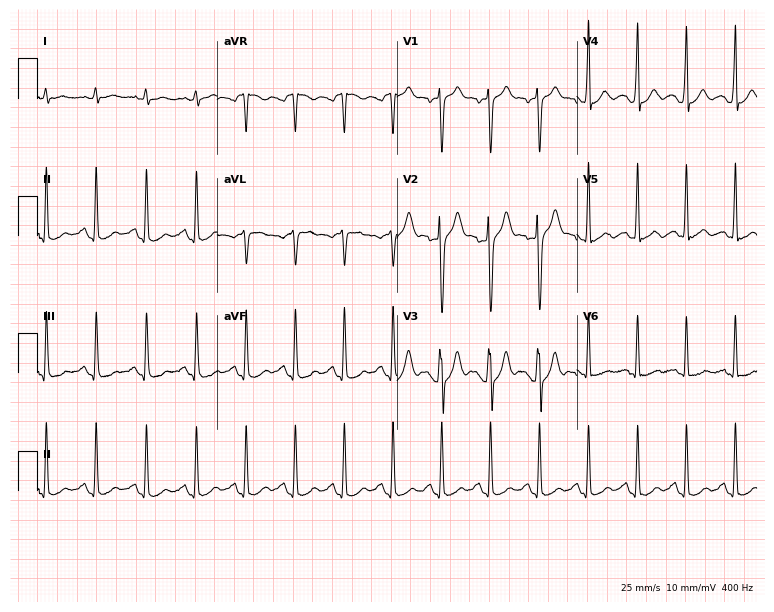
12-lead ECG from a male patient, 32 years old. Shows sinus tachycardia (a sinus rate of 100 beats per minute or more).